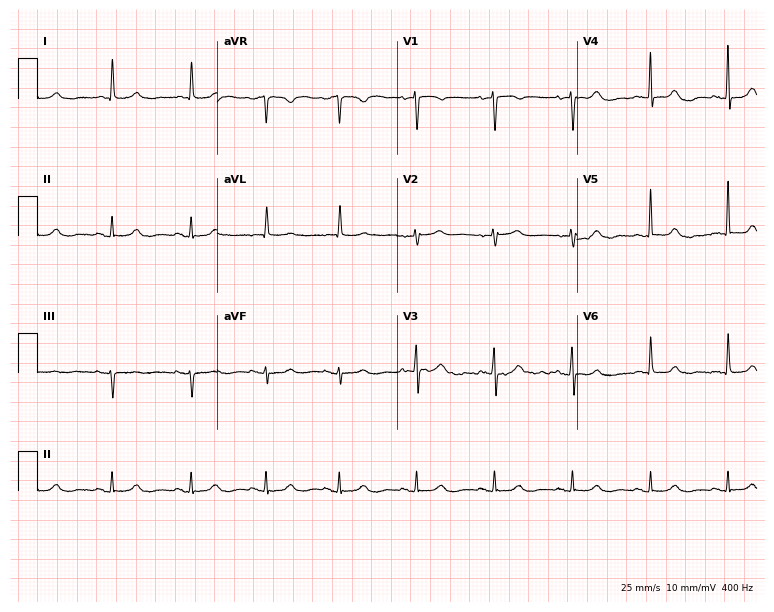
ECG (7.3-second recording at 400 Hz) — a woman, 75 years old. Screened for six findings — first-degree AV block, right bundle branch block (RBBB), left bundle branch block (LBBB), sinus bradycardia, atrial fibrillation (AF), sinus tachycardia — none is recorded. Only these six findings were labelled.